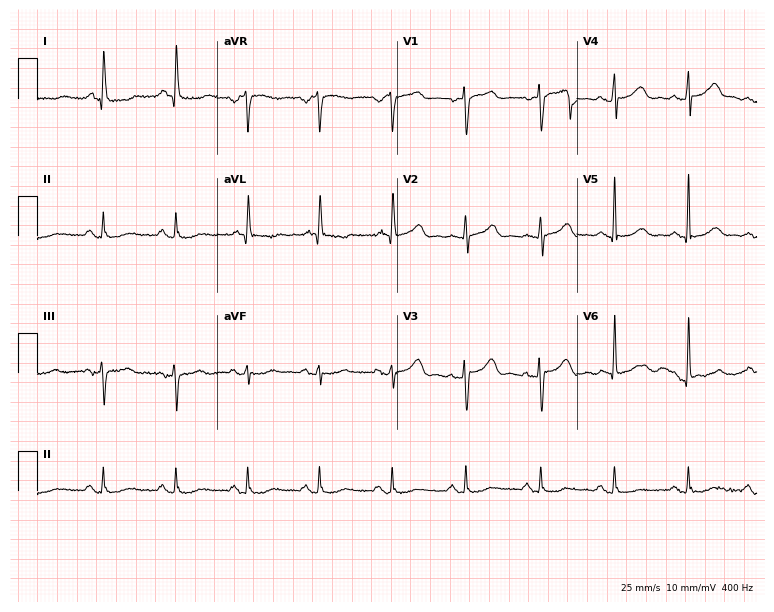
12-lead ECG (7.3-second recording at 400 Hz) from a 59-year-old female. Labelled as a normal ECG.